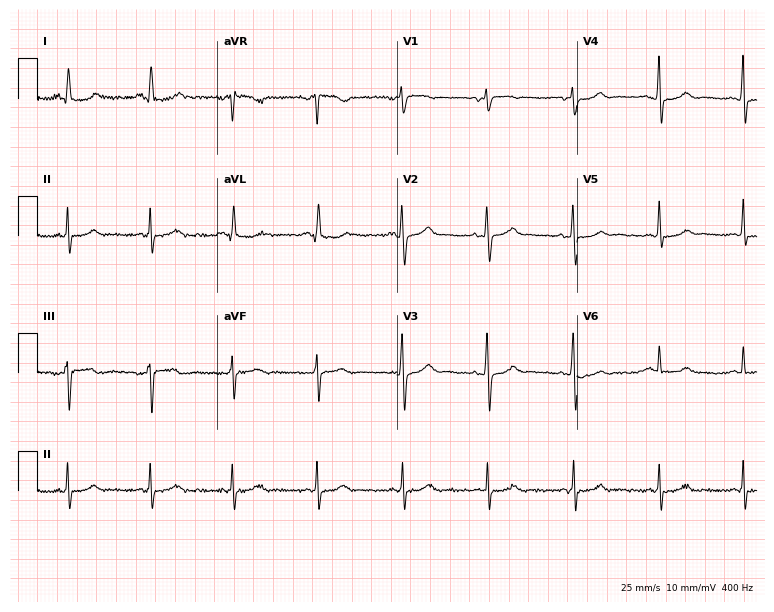
Standard 12-lead ECG recorded from a 47-year-old female. None of these six findings is recorded: first-degree AV block, right bundle branch block (RBBB), left bundle branch block (LBBB), sinus bradycardia, atrial fibrillation (AF), sinus tachycardia.